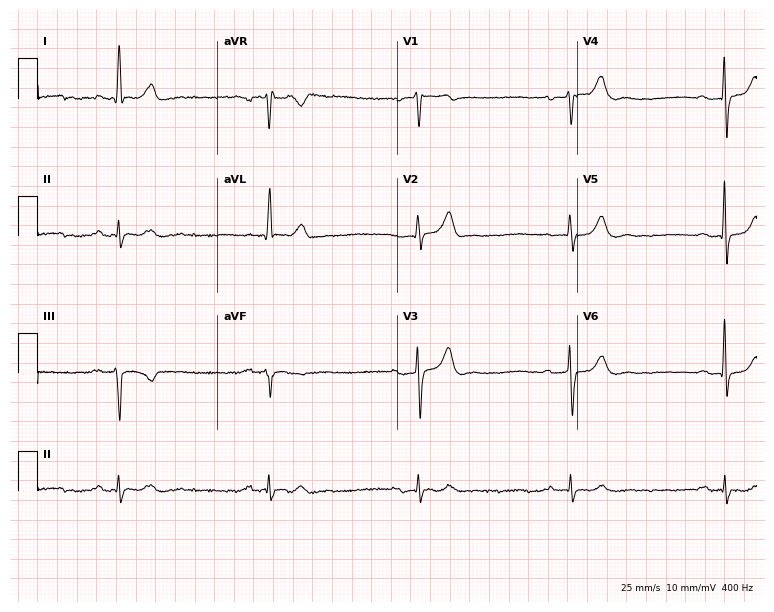
Resting 12-lead electrocardiogram (7.3-second recording at 400 Hz). Patient: a 60-year-old man. The tracing shows first-degree AV block, sinus bradycardia (a sinus rate of 50 beats per minute or less).